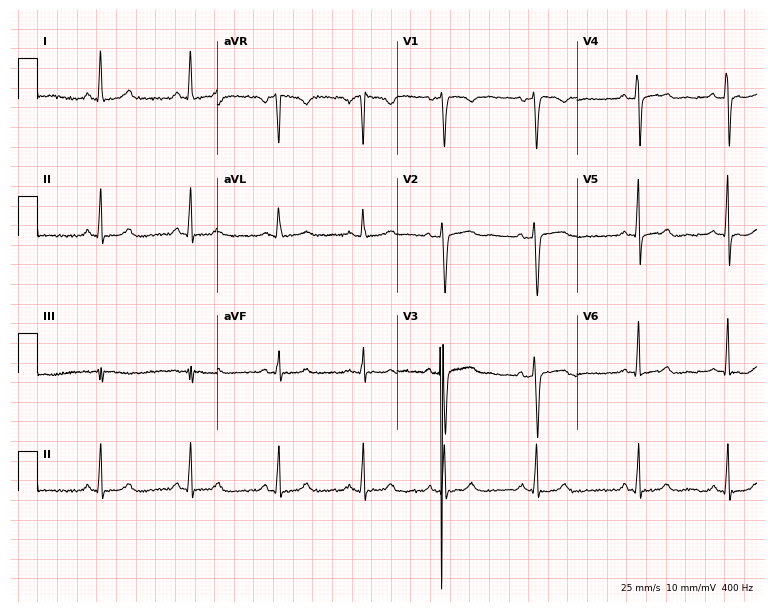
Standard 12-lead ECG recorded from a female, 32 years old. Read as a normal ECG.